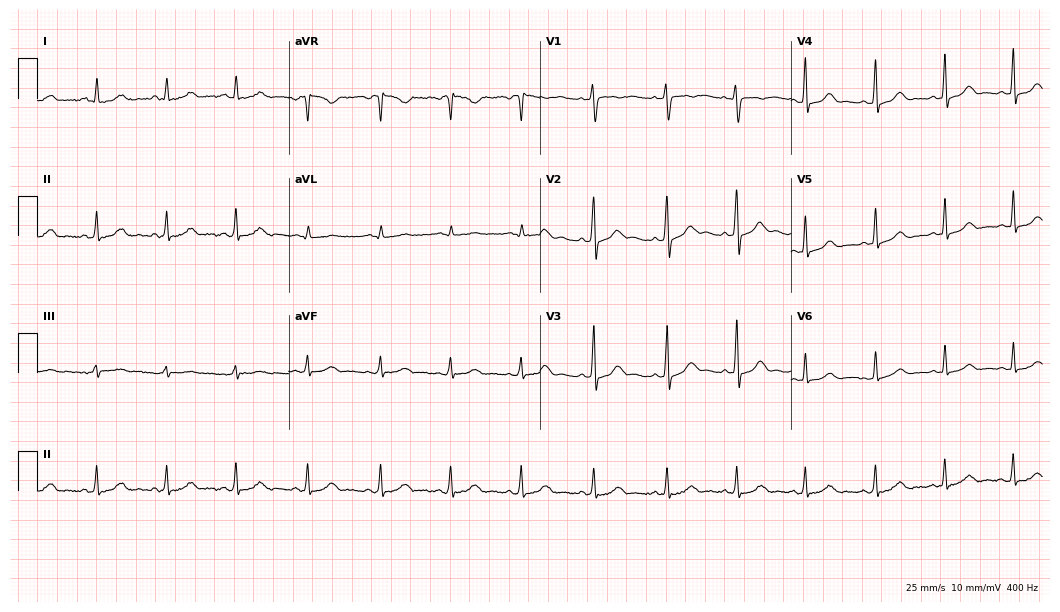
12-lead ECG from a female, 24 years old. Screened for six findings — first-degree AV block, right bundle branch block, left bundle branch block, sinus bradycardia, atrial fibrillation, sinus tachycardia — none is recorded. Other findings, if any, are not listed.